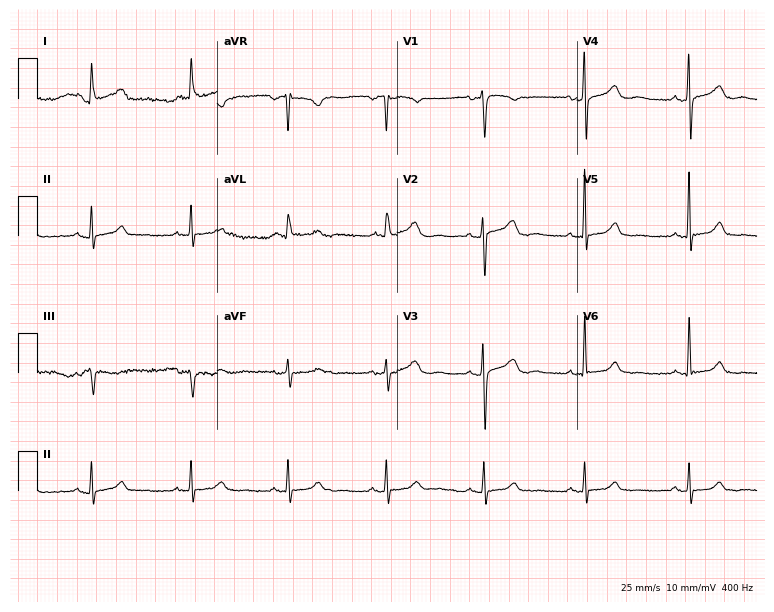
Standard 12-lead ECG recorded from a 74-year-old female. Read as a normal ECG.